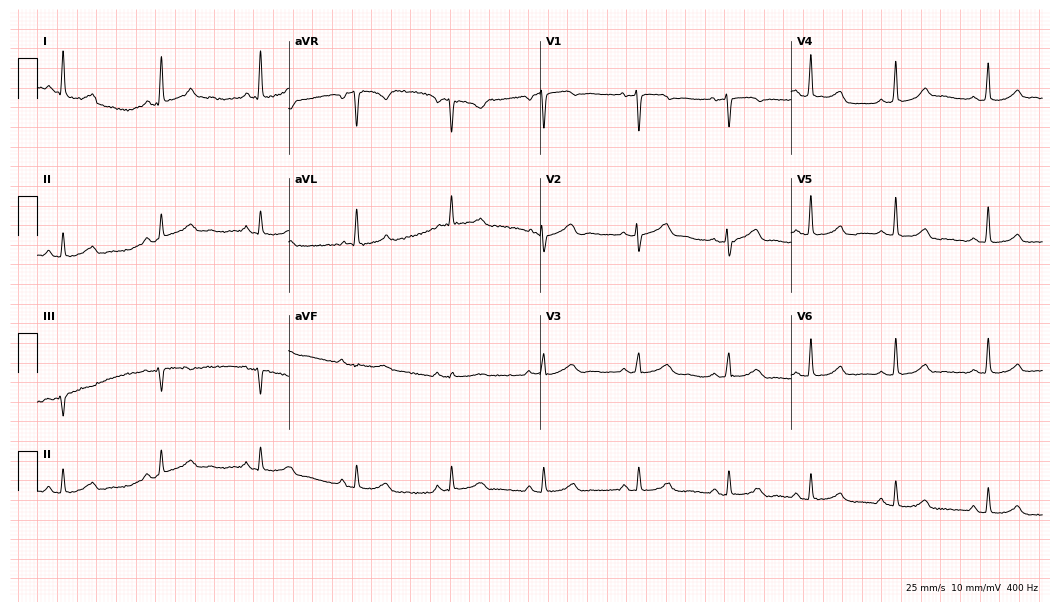
Resting 12-lead electrocardiogram. Patient: a 56-year-old female. Read as a normal ECG.